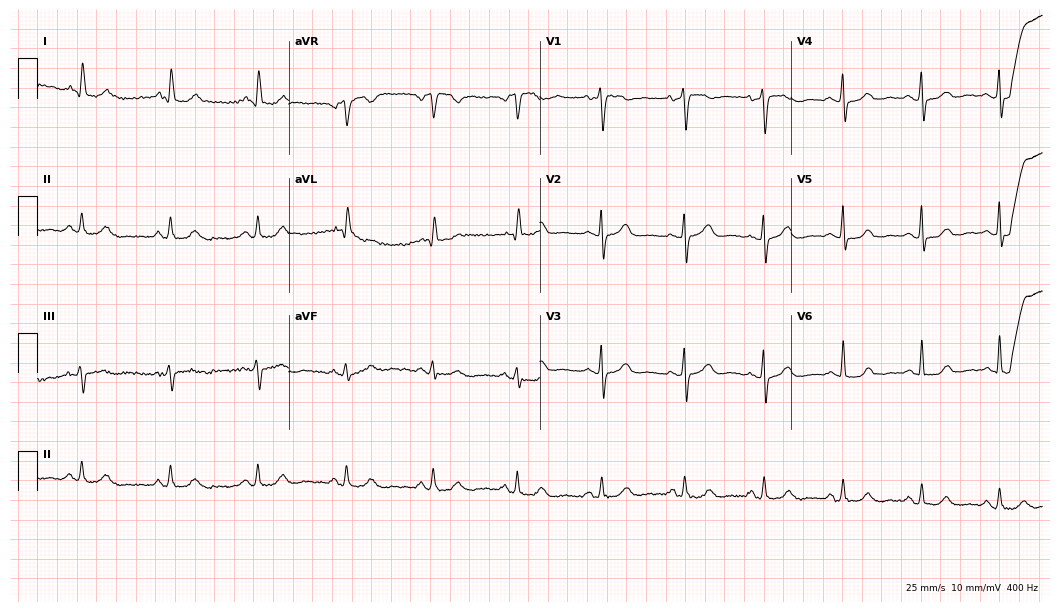
Standard 12-lead ECG recorded from a female, 74 years old. Read as a normal ECG.